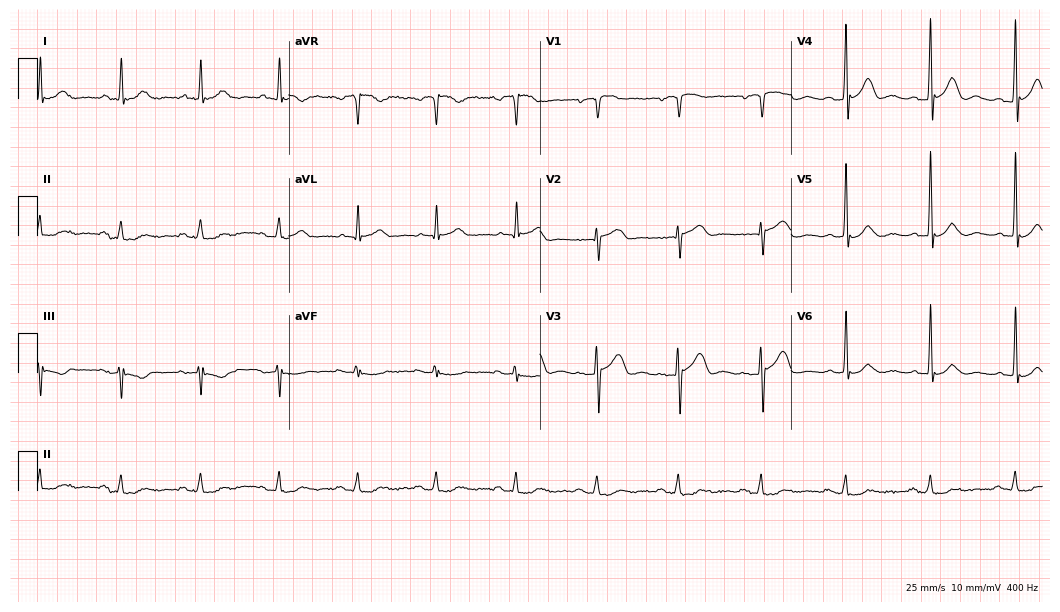
ECG (10.2-second recording at 400 Hz) — a male patient, 66 years old. Labelled as a normal ECG.